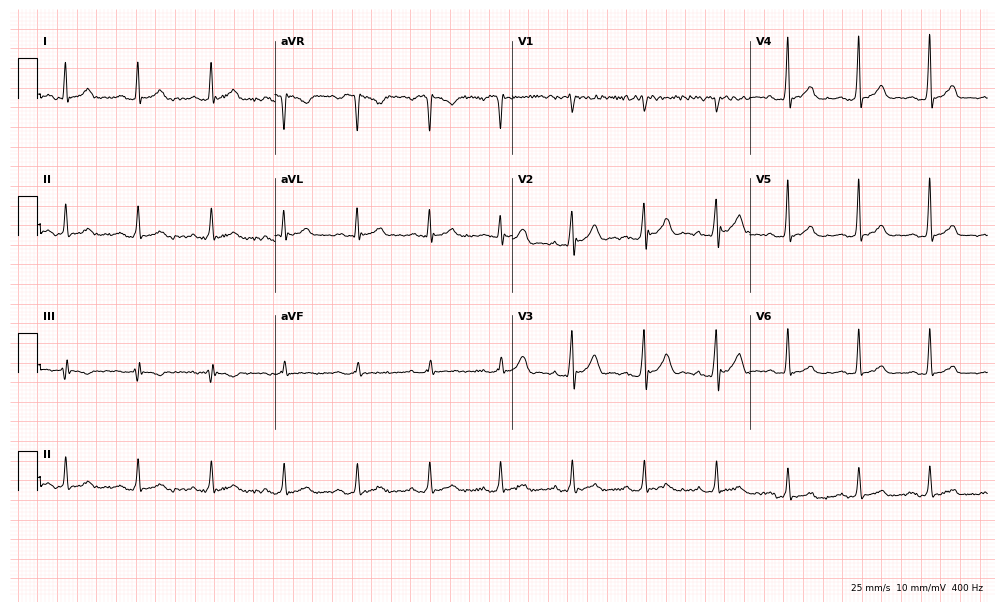
Standard 12-lead ECG recorded from a male, 27 years old (9.7-second recording at 400 Hz). Read as a normal ECG.